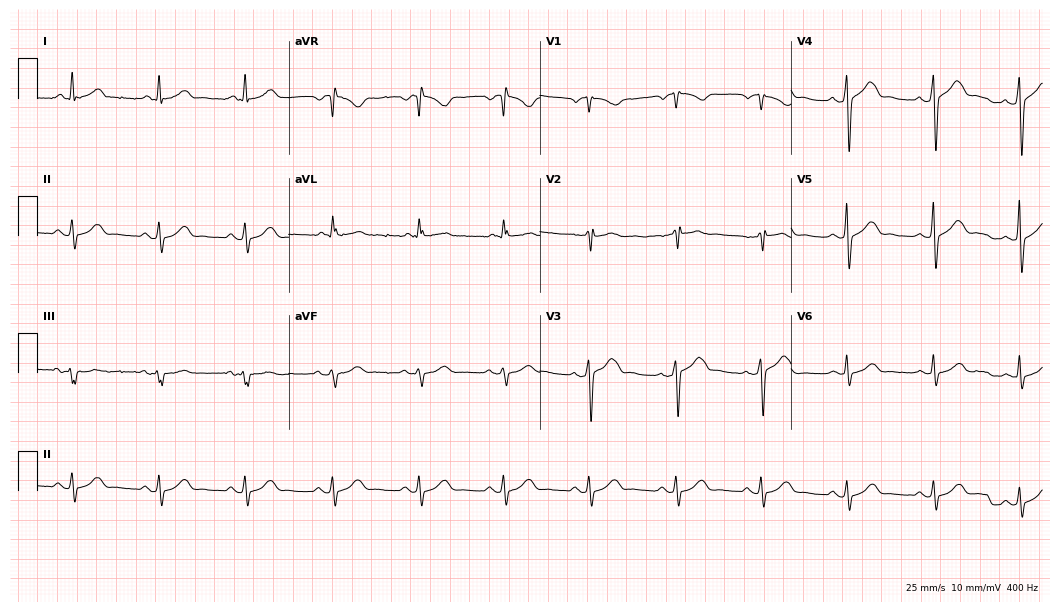
Standard 12-lead ECG recorded from a man, 60 years old (10.2-second recording at 400 Hz). Read as a normal ECG.